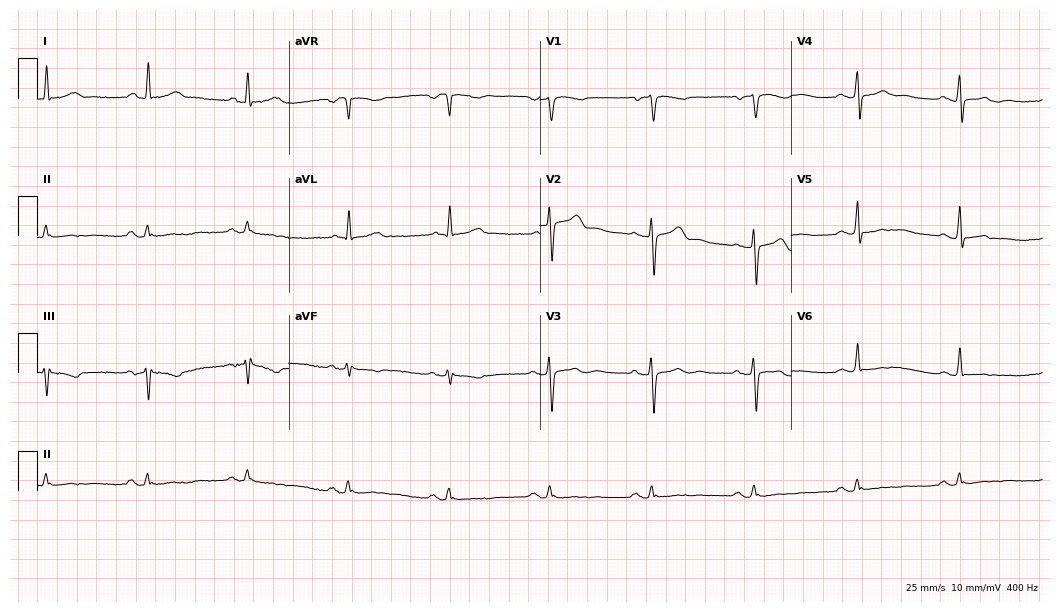
12-lead ECG (10.2-second recording at 400 Hz) from a male patient, 67 years old. Screened for six findings — first-degree AV block, right bundle branch block, left bundle branch block, sinus bradycardia, atrial fibrillation, sinus tachycardia — none is recorded.